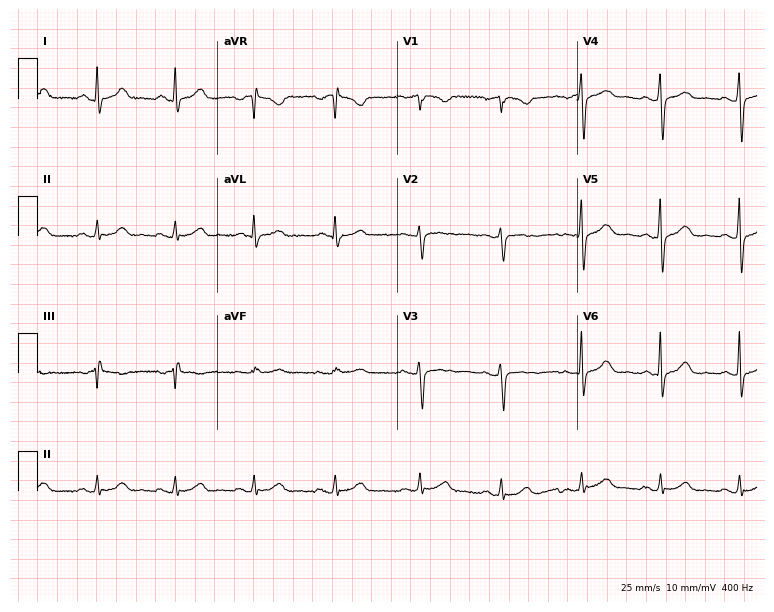
ECG (7.3-second recording at 400 Hz) — a 41-year-old woman. Screened for six findings — first-degree AV block, right bundle branch block, left bundle branch block, sinus bradycardia, atrial fibrillation, sinus tachycardia — none is recorded. Findings outside these six are not listed.